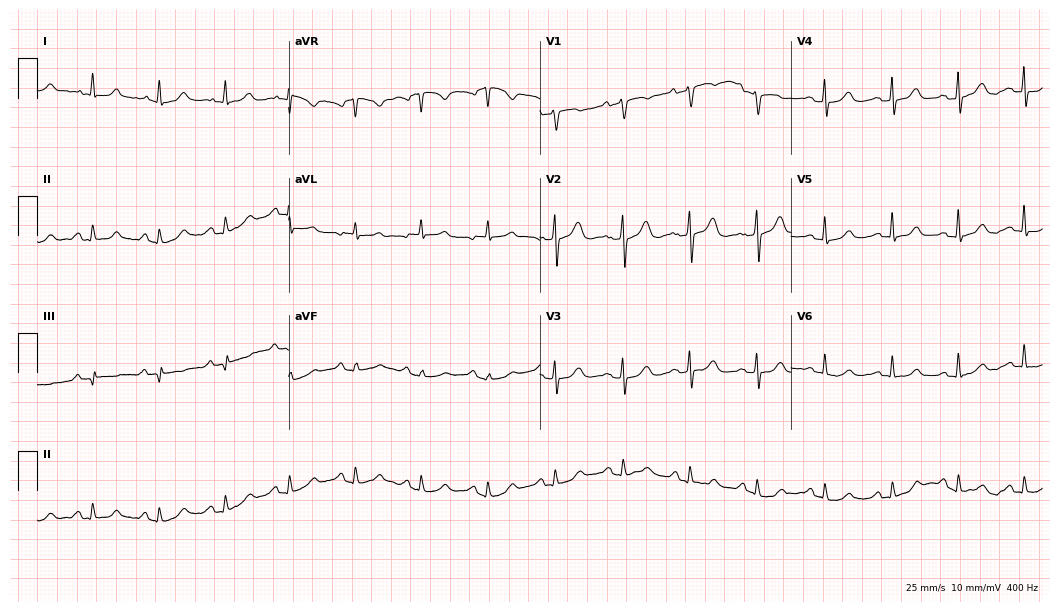
12-lead ECG from a woman, 64 years old. Recorded interpretation: within normal limits.